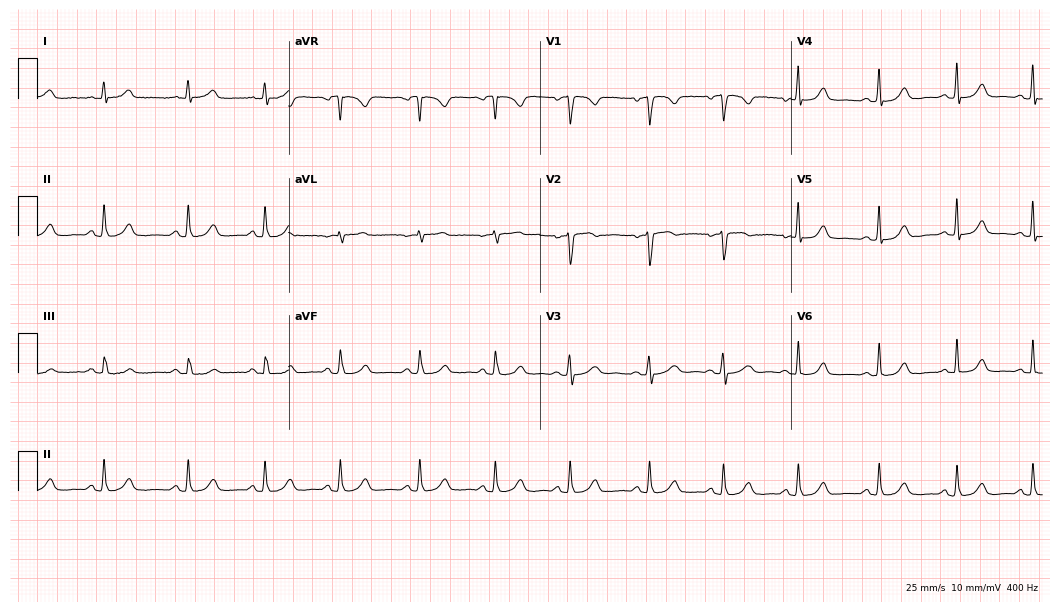
12-lead ECG from a 33-year-old female. Labelled as a normal ECG.